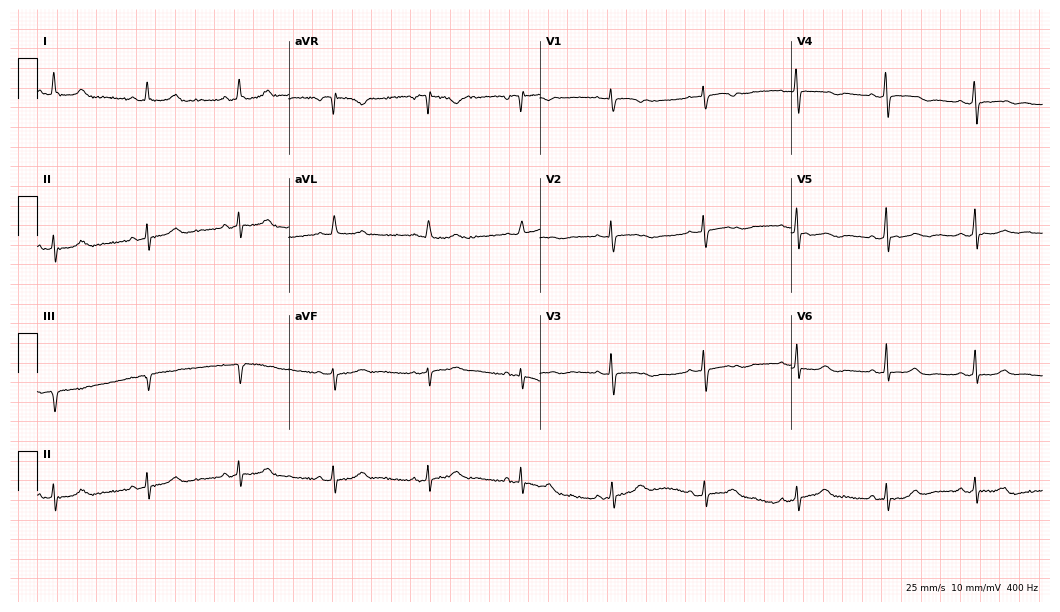
Electrocardiogram (10.2-second recording at 400 Hz), a 68-year-old female. Of the six screened findings (first-degree AV block, right bundle branch block, left bundle branch block, sinus bradycardia, atrial fibrillation, sinus tachycardia), none is recorded. Only these six findings were labelled.